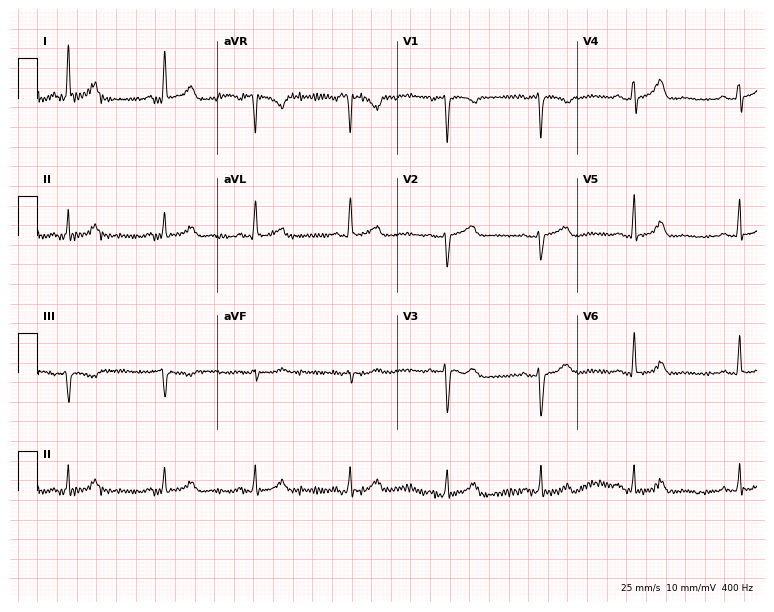
12-lead ECG from a 51-year-old female patient (7.3-second recording at 400 Hz). No first-degree AV block, right bundle branch block, left bundle branch block, sinus bradycardia, atrial fibrillation or sinus tachycardia recorded for this tracing. Only these six findings were labelled.